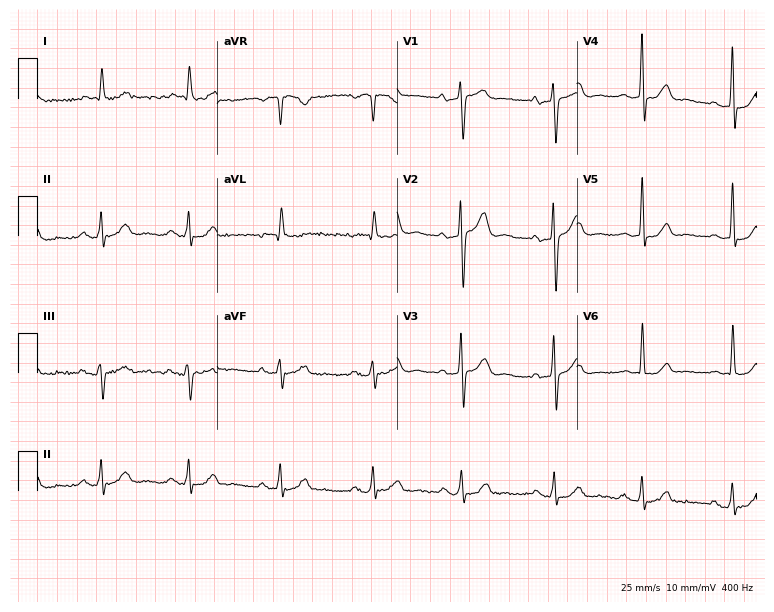
12-lead ECG from a female patient, 82 years old. Screened for six findings — first-degree AV block, right bundle branch block, left bundle branch block, sinus bradycardia, atrial fibrillation, sinus tachycardia — none is recorded. Other findings, if any, are not listed.